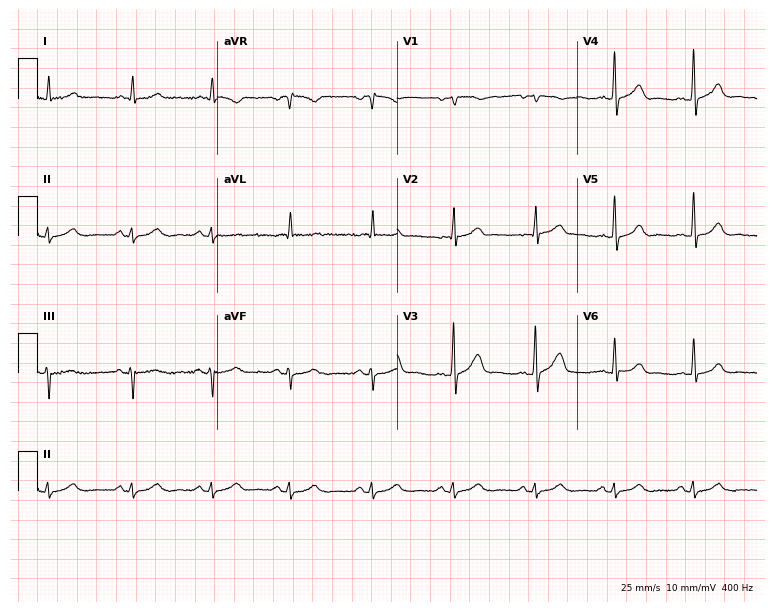
ECG — a male, 63 years old. Labelled as a normal ECG.